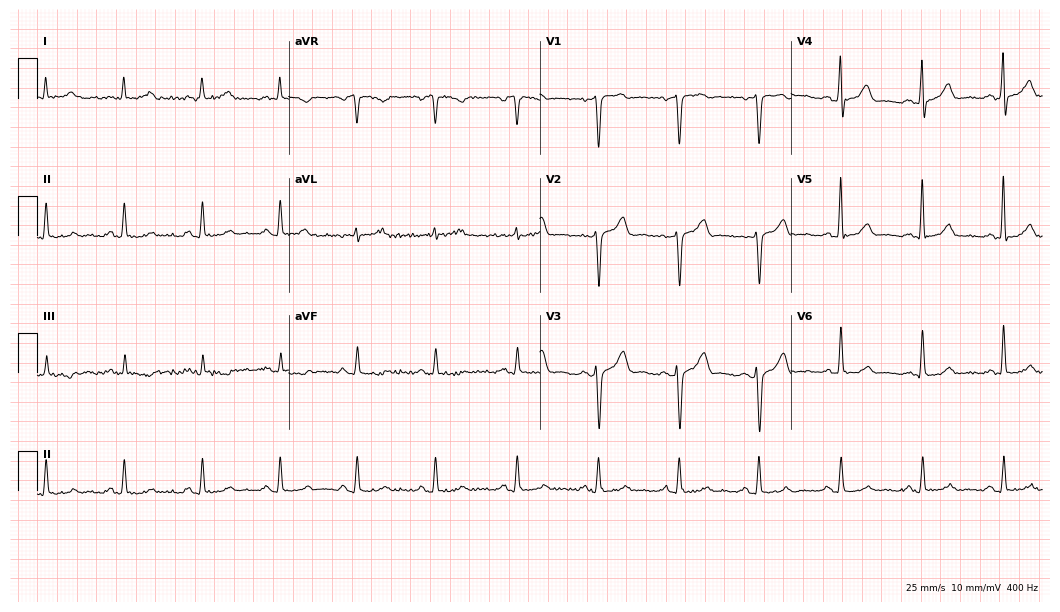
12-lead ECG from a 56-year-old man (10.2-second recording at 400 Hz). No first-degree AV block, right bundle branch block, left bundle branch block, sinus bradycardia, atrial fibrillation or sinus tachycardia recorded for this tracing. Only these six findings were labelled.